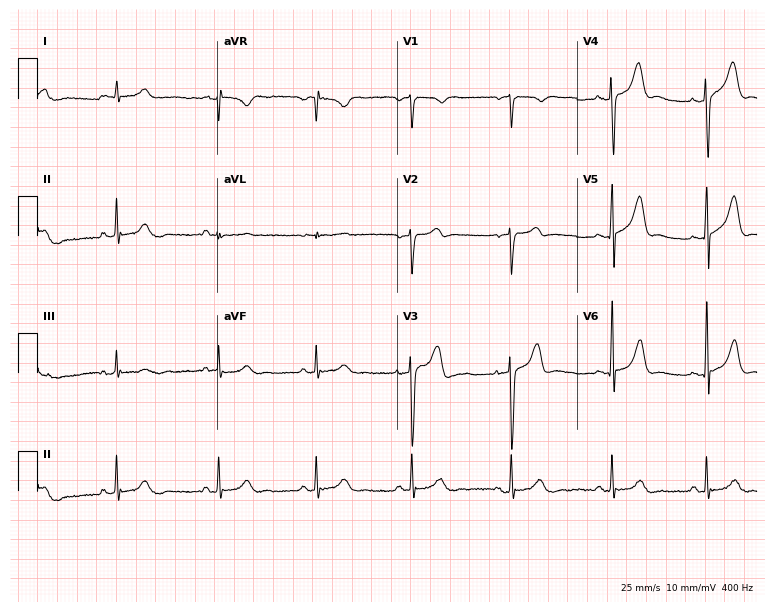
12-lead ECG (7.3-second recording at 400 Hz) from a 40-year-old female patient. Labelled as a normal ECG.